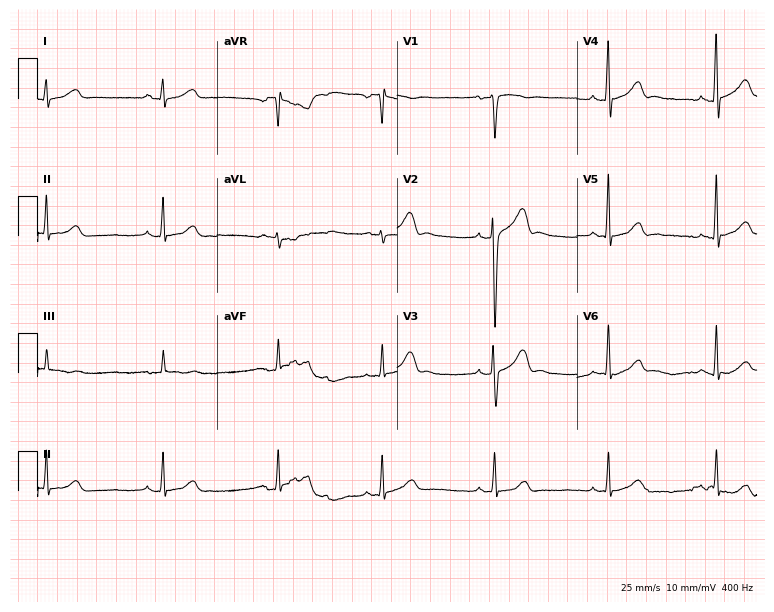
Standard 12-lead ECG recorded from a man, 31 years old (7.3-second recording at 400 Hz). Read as a normal ECG.